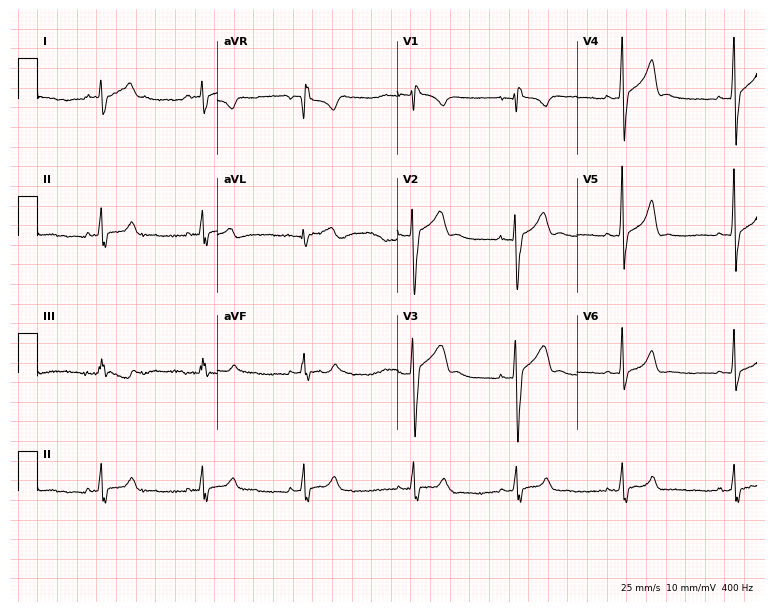
ECG — a male, 17 years old. Labelled as a normal ECG.